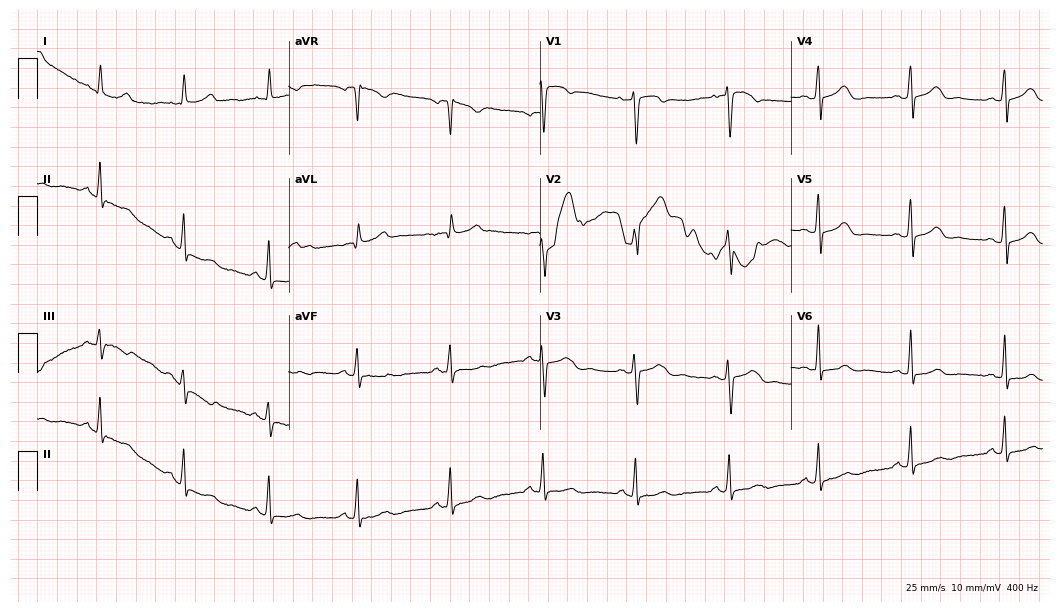
12-lead ECG from a 50-year-old female. Screened for six findings — first-degree AV block, right bundle branch block (RBBB), left bundle branch block (LBBB), sinus bradycardia, atrial fibrillation (AF), sinus tachycardia — none is recorded.